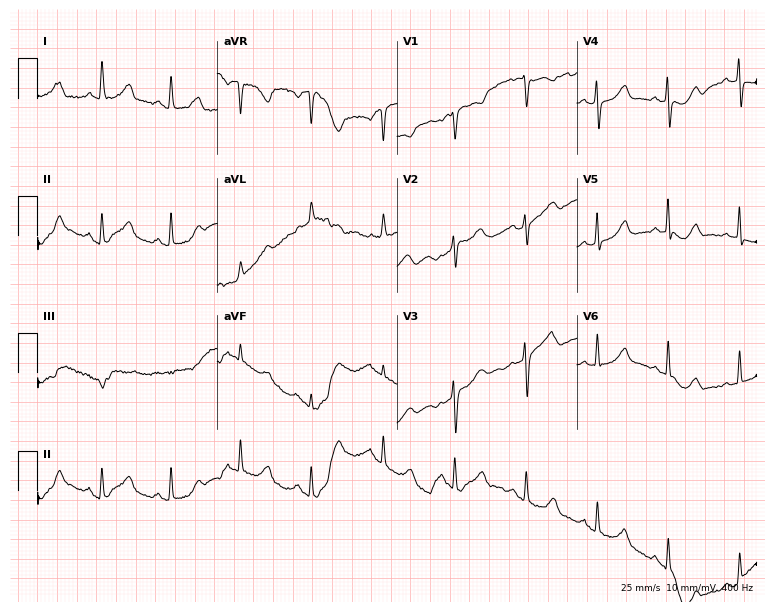
ECG — a woman, 59 years old. Screened for six findings — first-degree AV block, right bundle branch block (RBBB), left bundle branch block (LBBB), sinus bradycardia, atrial fibrillation (AF), sinus tachycardia — none is recorded. Other findings, if any, are not listed.